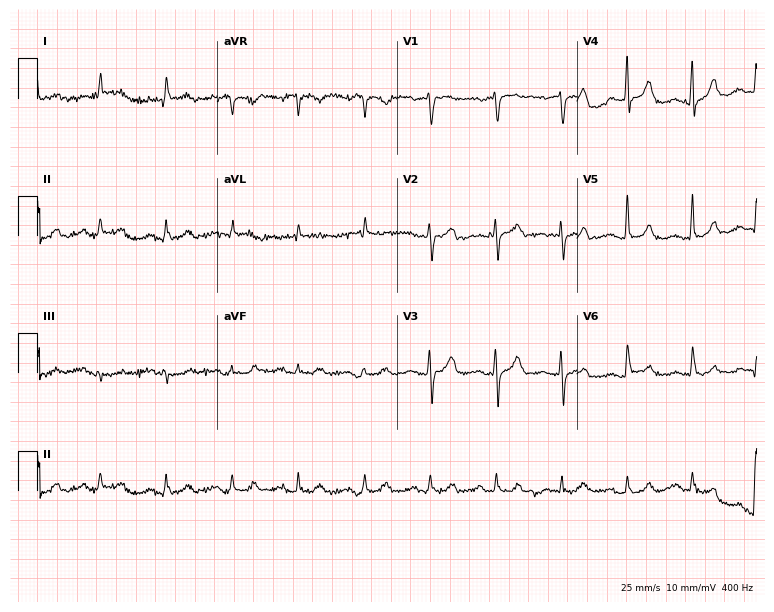
ECG — a 78-year-old man. Labelled as a normal ECG.